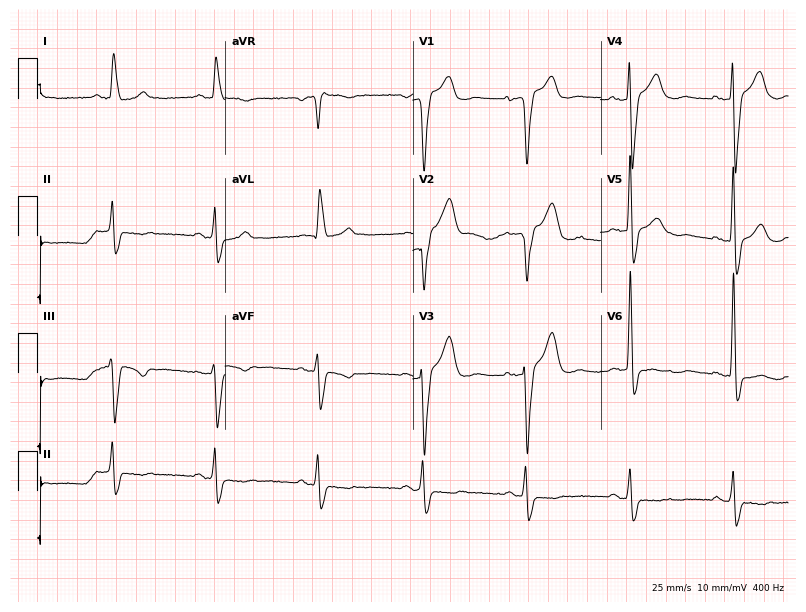
ECG — a 77-year-old male. Findings include left bundle branch block.